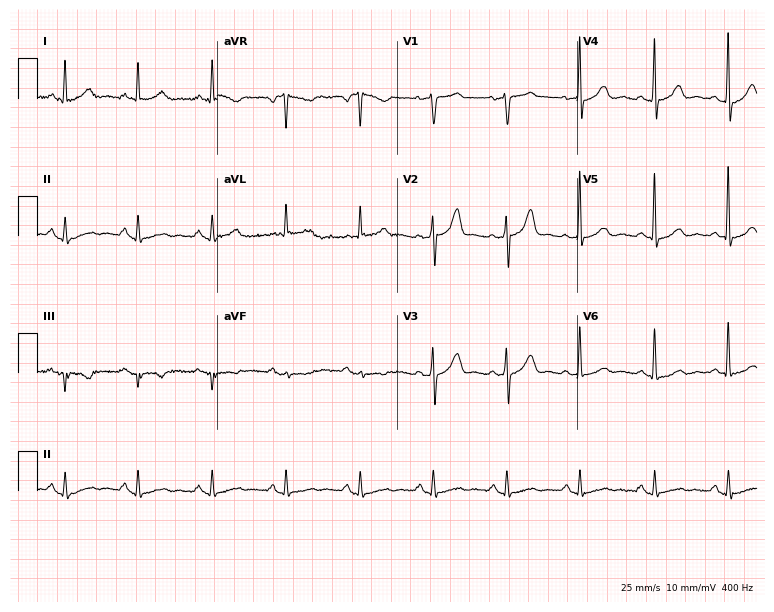
12-lead ECG from a male patient, 74 years old. No first-degree AV block, right bundle branch block (RBBB), left bundle branch block (LBBB), sinus bradycardia, atrial fibrillation (AF) or sinus tachycardia recorded for this tracing.